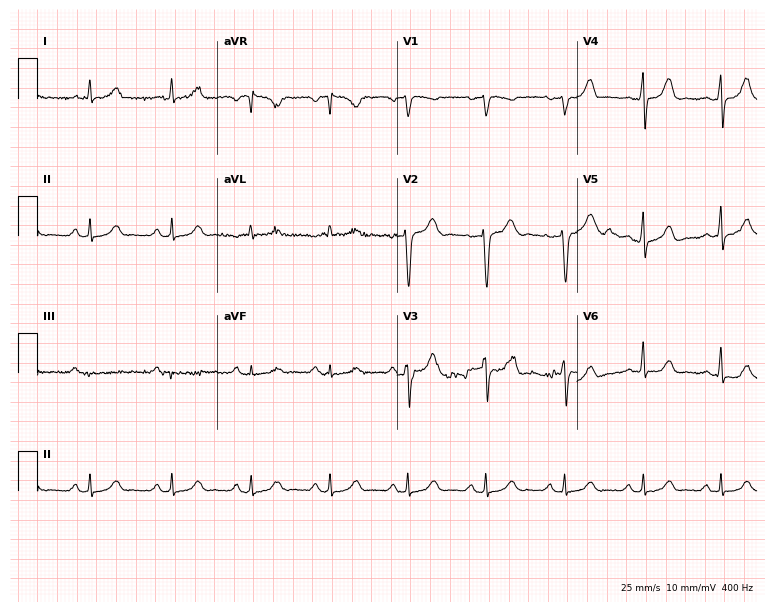
12-lead ECG from a female patient, 46 years old (7.3-second recording at 400 Hz). No first-degree AV block, right bundle branch block, left bundle branch block, sinus bradycardia, atrial fibrillation or sinus tachycardia recorded for this tracing.